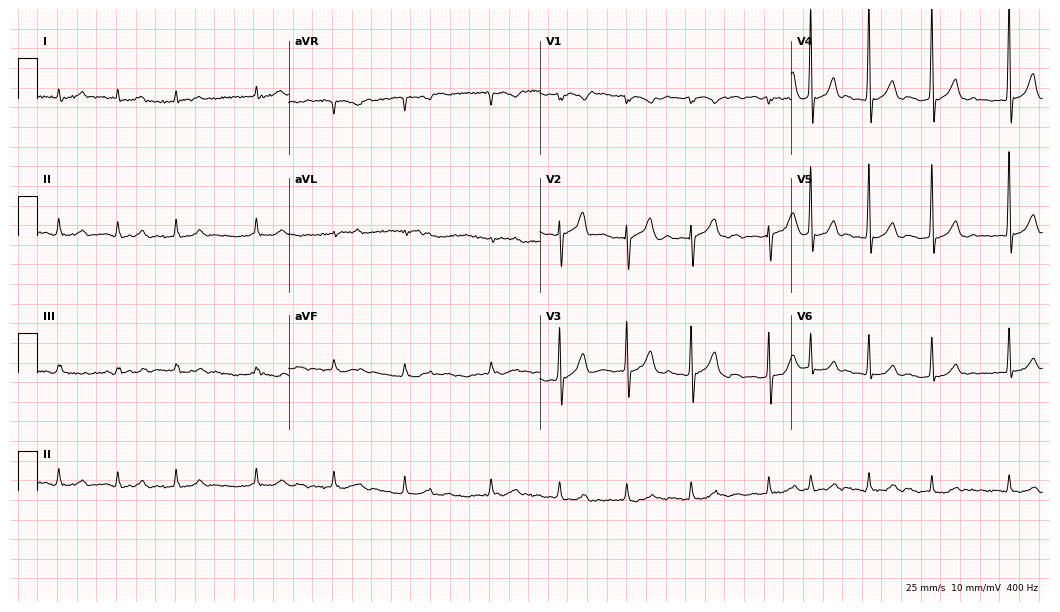
Resting 12-lead electrocardiogram. Patient: a male, 82 years old. The tracing shows atrial fibrillation.